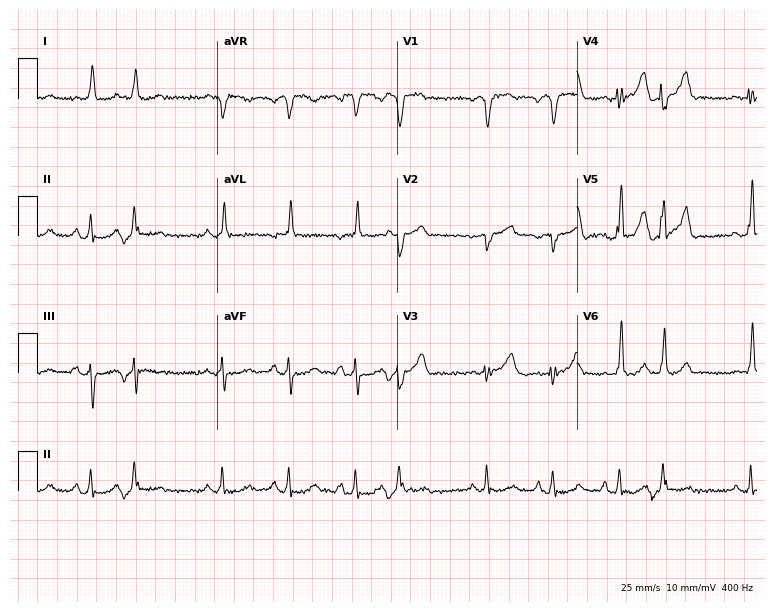
Standard 12-lead ECG recorded from an 82-year-old male. None of these six findings is recorded: first-degree AV block, right bundle branch block, left bundle branch block, sinus bradycardia, atrial fibrillation, sinus tachycardia.